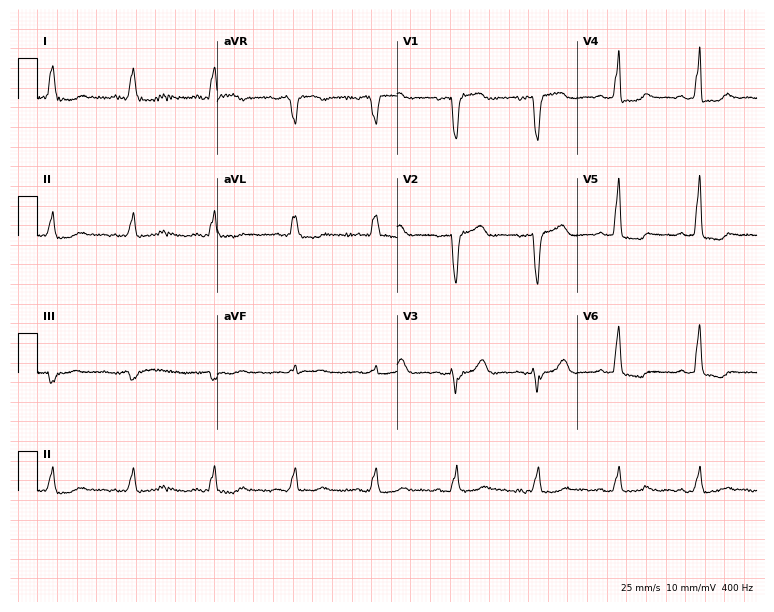
Standard 12-lead ECG recorded from a woman, 76 years old (7.3-second recording at 400 Hz). The tracing shows left bundle branch block.